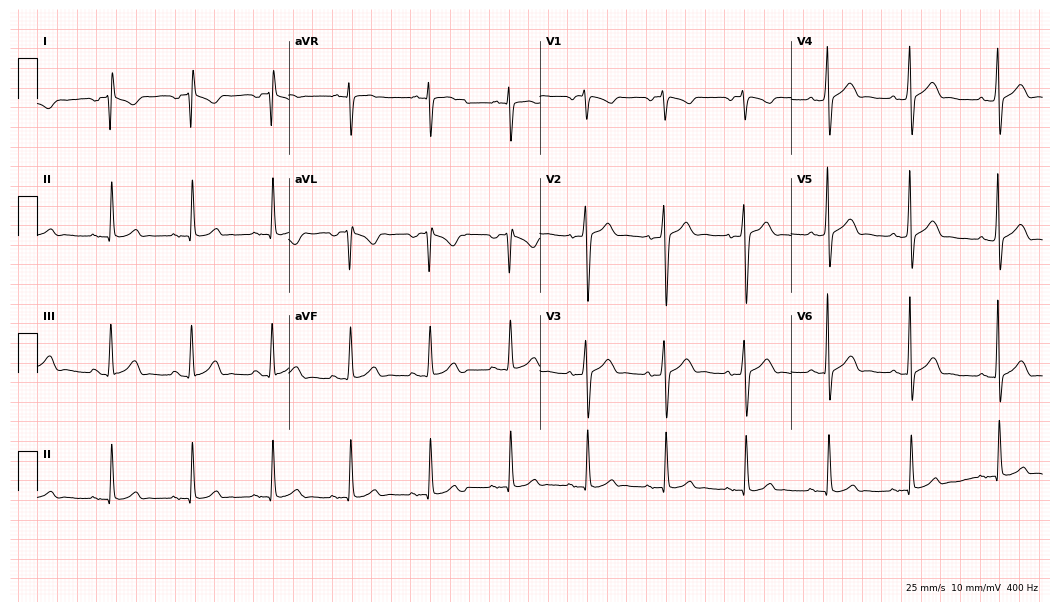
Electrocardiogram (10.2-second recording at 400 Hz), a male patient, 18 years old. Of the six screened findings (first-degree AV block, right bundle branch block, left bundle branch block, sinus bradycardia, atrial fibrillation, sinus tachycardia), none is recorded.